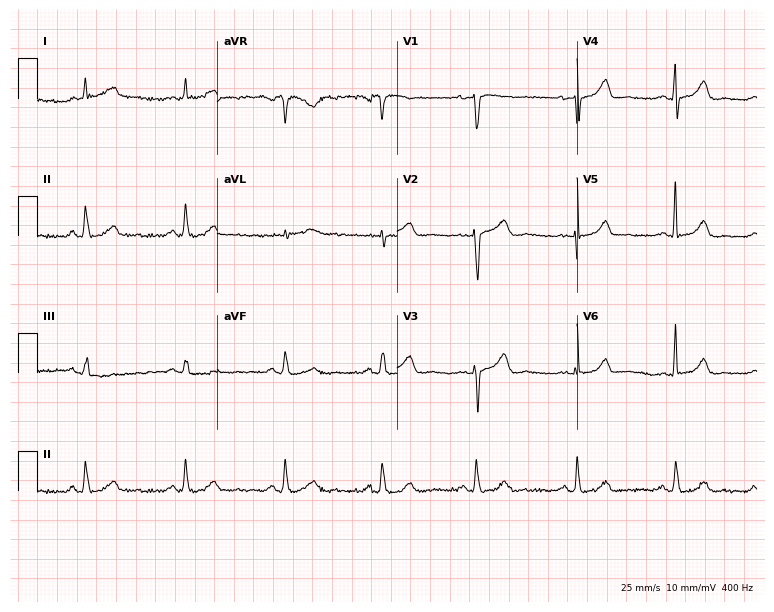
Electrocardiogram, a woman, 69 years old. Overall reading on record: normal ECG.